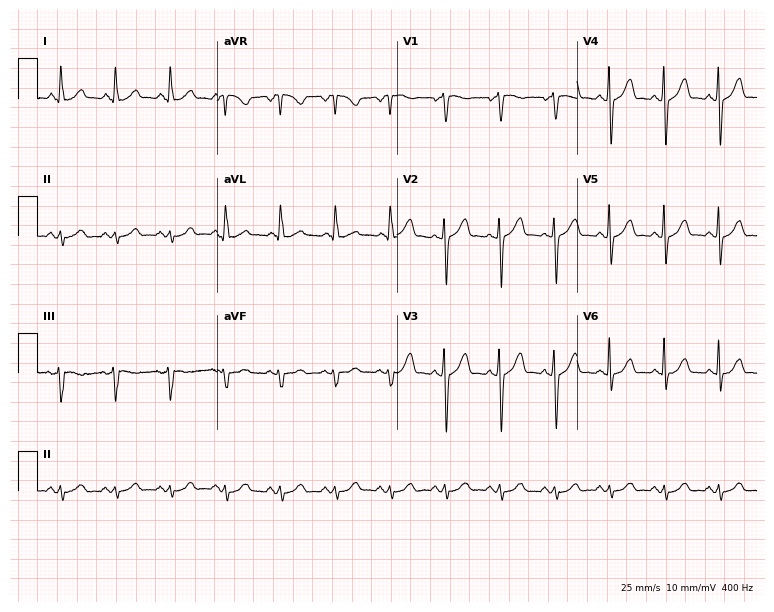
12-lead ECG from a 68-year-old female (7.3-second recording at 400 Hz). No first-degree AV block, right bundle branch block, left bundle branch block, sinus bradycardia, atrial fibrillation or sinus tachycardia recorded for this tracing. Other findings, if any, are not listed.